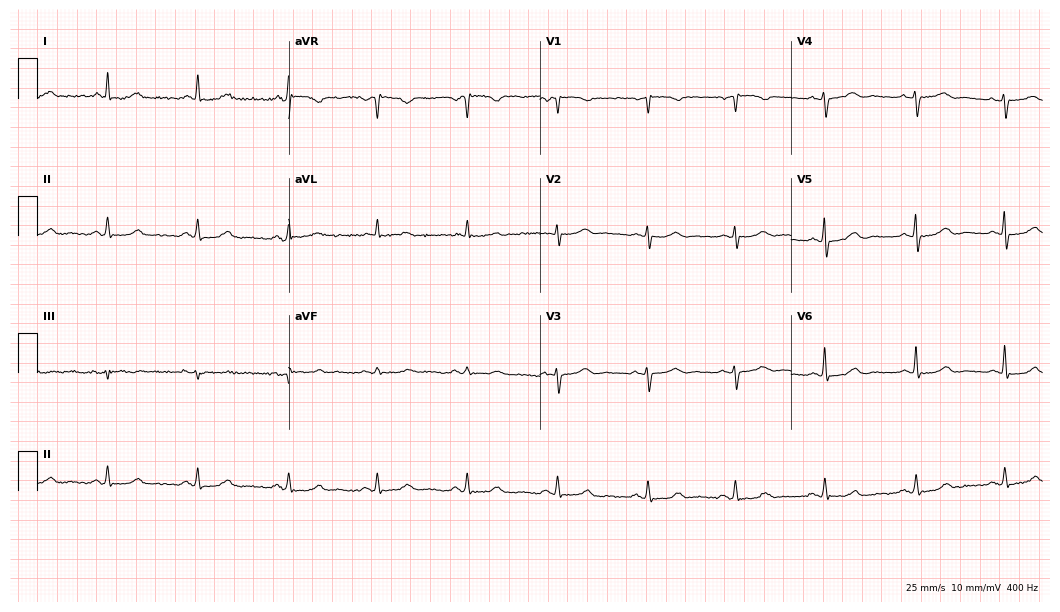
Resting 12-lead electrocardiogram. Patient: a female, 69 years old. Read as a normal ECG.